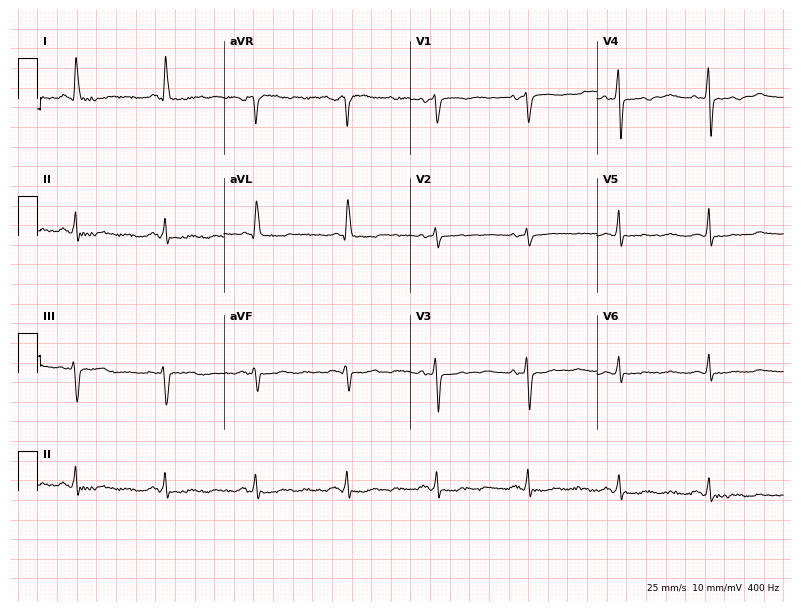
Resting 12-lead electrocardiogram (7.6-second recording at 400 Hz). Patient: a 70-year-old woman. None of these six findings is recorded: first-degree AV block, right bundle branch block, left bundle branch block, sinus bradycardia, atrial fibrillation, sinus tachycardia. Other findings, if any, are not listed.